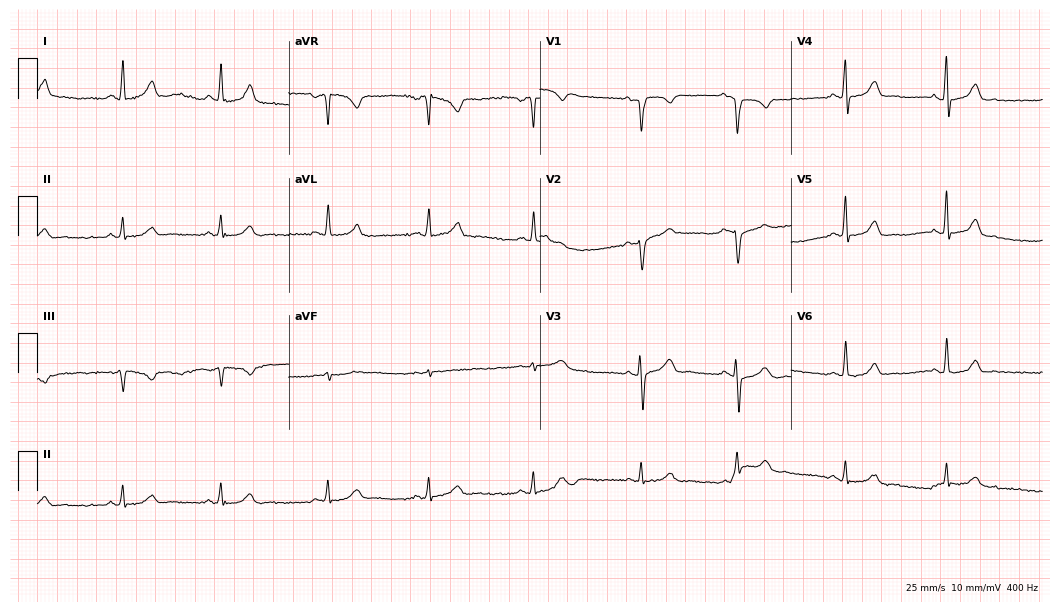
Resting 12-lead electrocardiogram (10.2-second recording at 400 Hz). Patient: a woman, 20 years old. None of these six findings is recorded: first-degree AV block, right bundle branch block, left bundle branch block, sinus bradycardia, atrial fibrillation, sinus tachycardia.